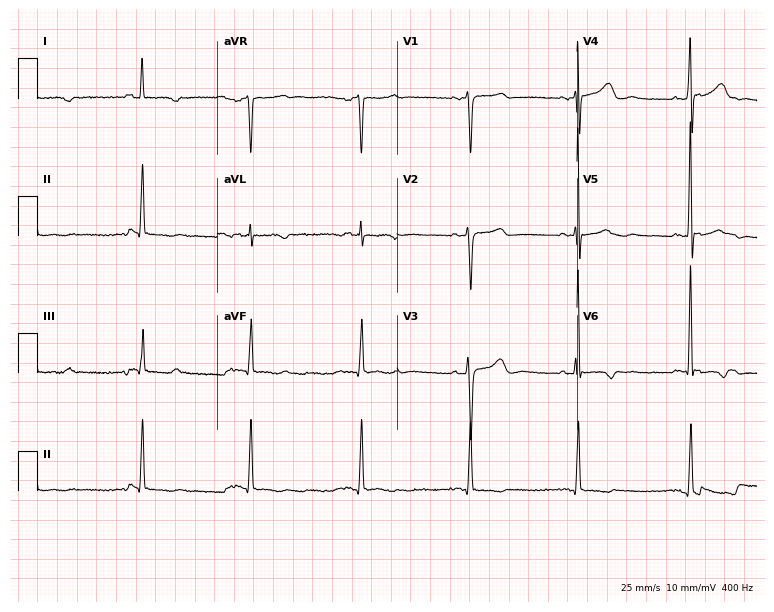
ECG — a female patient, 54 years old. Screened for six findings — first-degree AV block, right bundle branch block, left bundle branch block, sinus bradycardia, atrial fibrillation, sinus tachycardia — none is recorded.